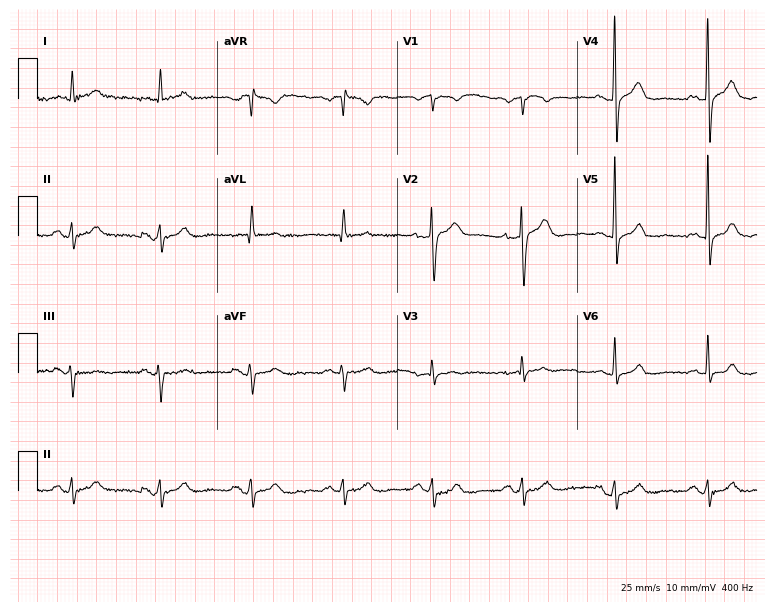
Standard 12-lead ECG recorded from a male patient, 72 years old. None of these six findings is recorded: first-degree AV block, right bundle branch block (RBBB), left bundle branch block (LBBB), sinus bradycardia, atrial fibrillation (AF), sinus tachycardia.